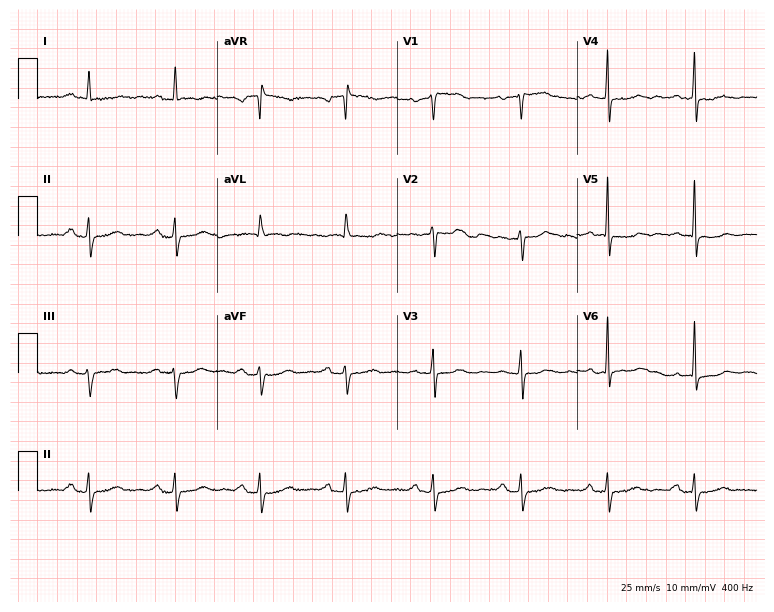
Resting 12-lead electrocardiogram. Patient: a 77-year-old woman. Read as a normal ECG.